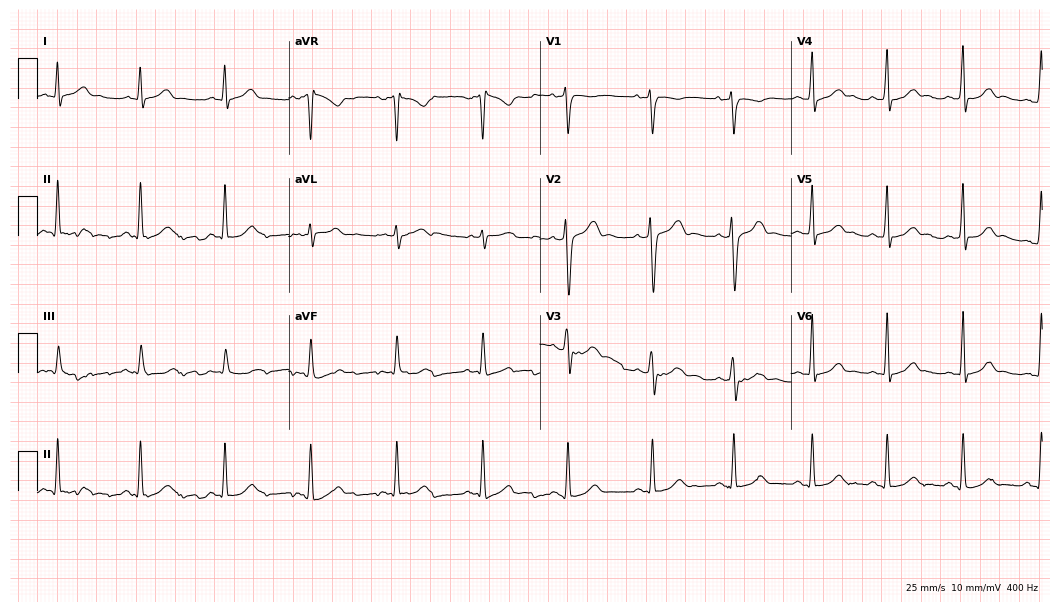
Electrocardiogram (10.2-second recording at 400 Hz), a male, 38 years old. Overall reading on record: normal ECG.